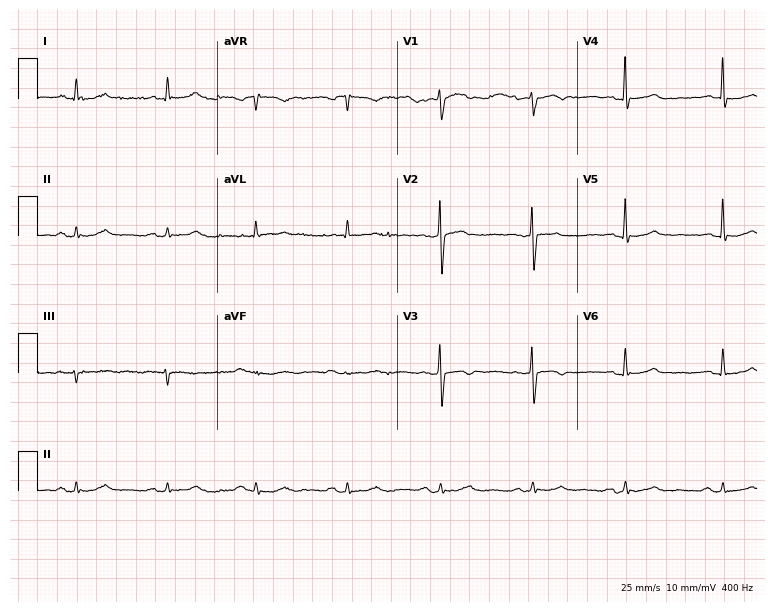
Electrocardiogram (7.3-second recording at 400 Hz), a female patient, 68 years old. Overall reading on record: normal ECG.